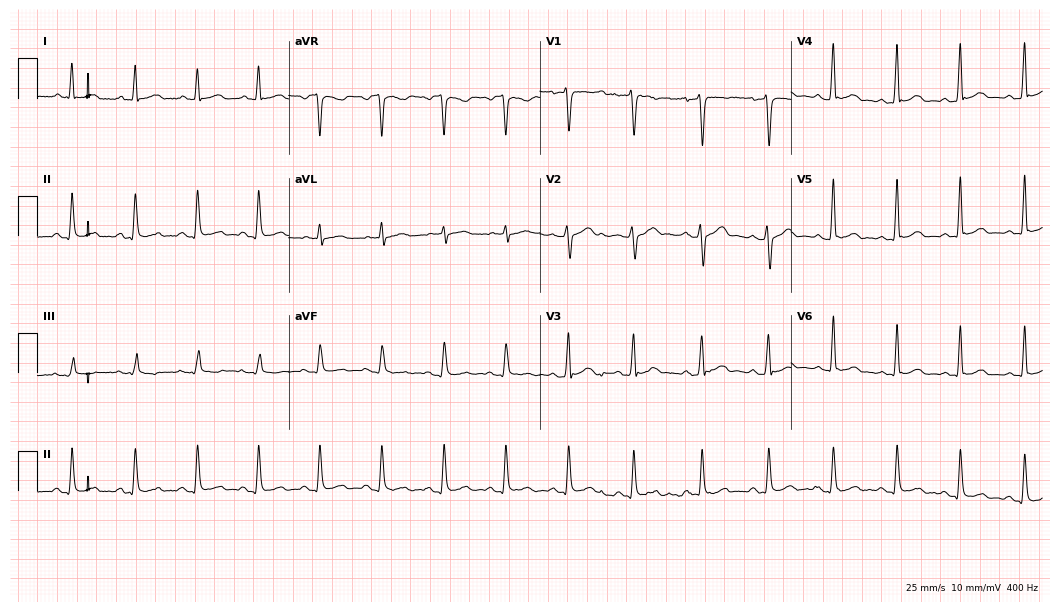
12-lead ECG from a 34-year-old male patient (10.2-second recording at 400 Hz). No first-degree AV block, right bundle branch block (RBBB), left bundle branch block (LBBB), sinus bradycardia, atrial fibrillation (AF) or sinus tachycardia recorded for this tracing. Other findings, if any, are not listed.